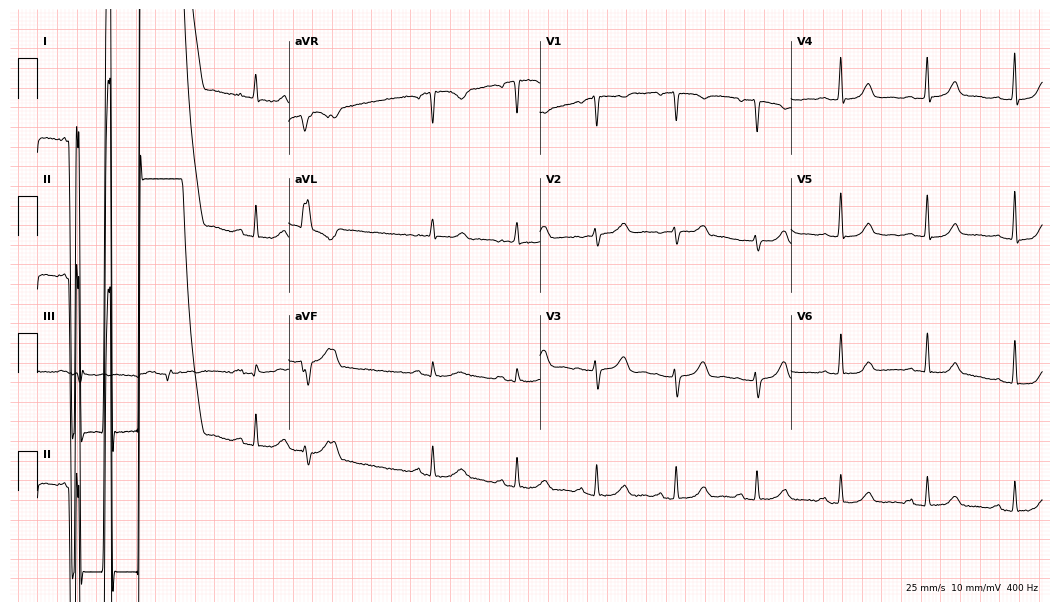
ECG — a 52-year-old female. Screened for six findings — first-degree AV block, right bundle branch block, left bundle branch block, sinus bradycardia, atrial fibrillation, sinus tachycardia — none is recorded. Other findings, if any, are not listed.